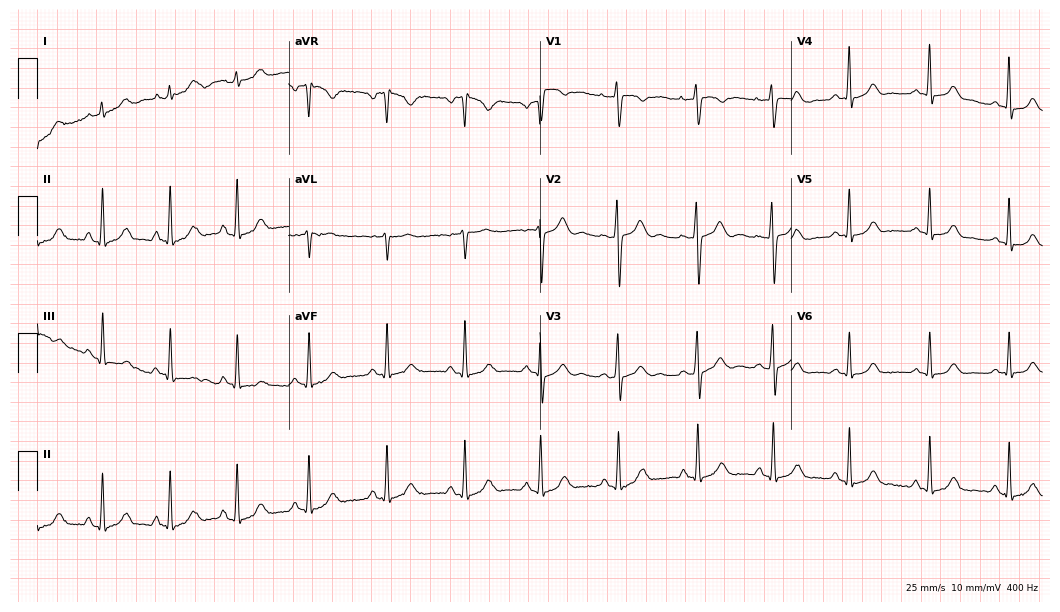
ECG (10.2-second recording at 400 Hz) — a 25-year-old female. Labelled as a normal ECG.